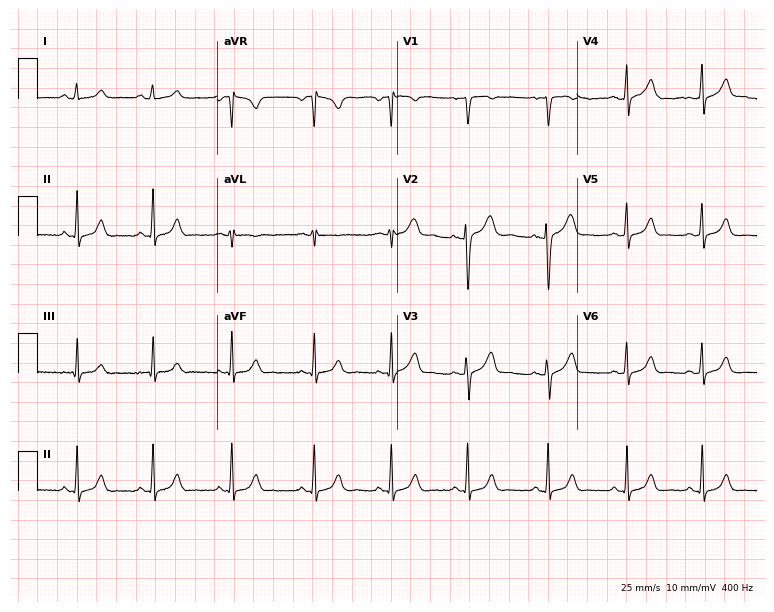
ECG — a woman, 19 years old. Labelled as a normal ECG.